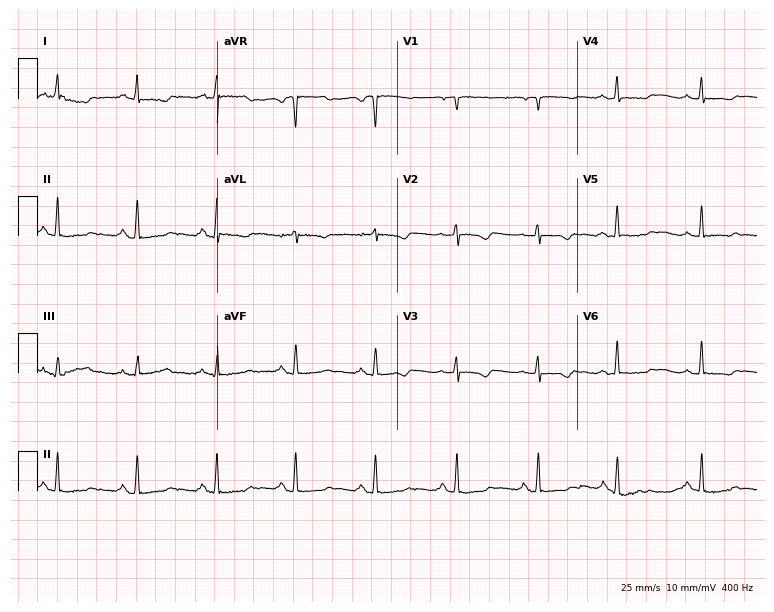
Resting 12-lead electrocardiogram (7.3-second recording at 400 Hz). Patient: a 61-year-old woman. None of these six findings is recorded: first-degree AV block, right bundle branch block, left bundle branch block, sinus bradycardia, atrial fibrillation, sinus tachycardia. Only these six findings were labelled.